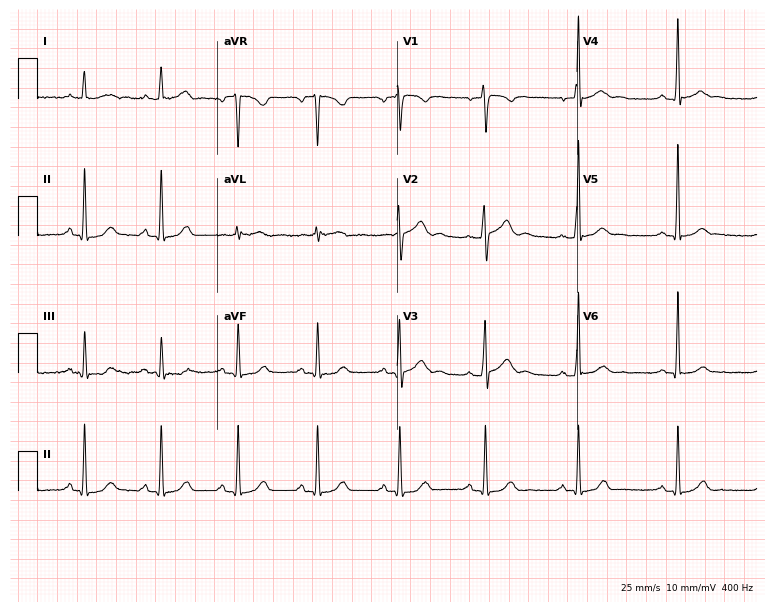
Standard 12-lead ECG recorded from a 28-year-old male (7.3-second recording at 400 Hz). Read as a normal ECG.